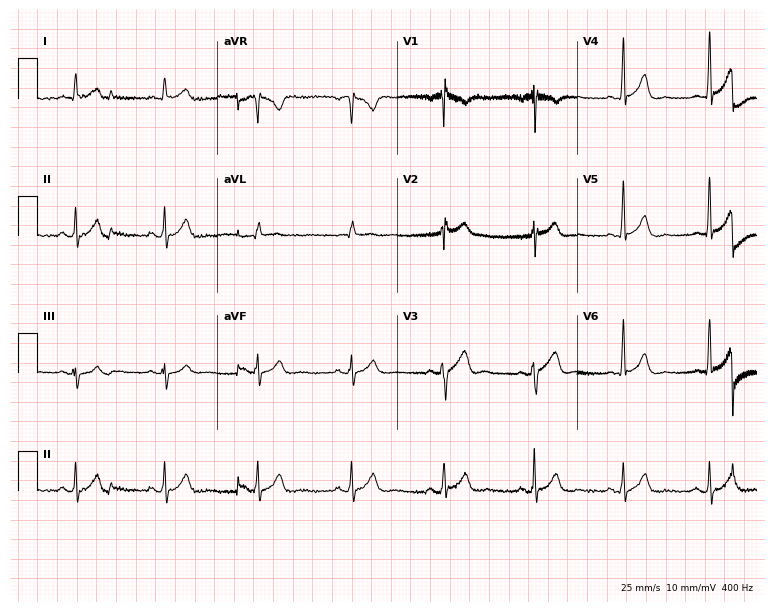
Electrocardiogram (7.3-second recording at 400 Hz), a male, 48 years old. Overall reading on record: normal ECG.